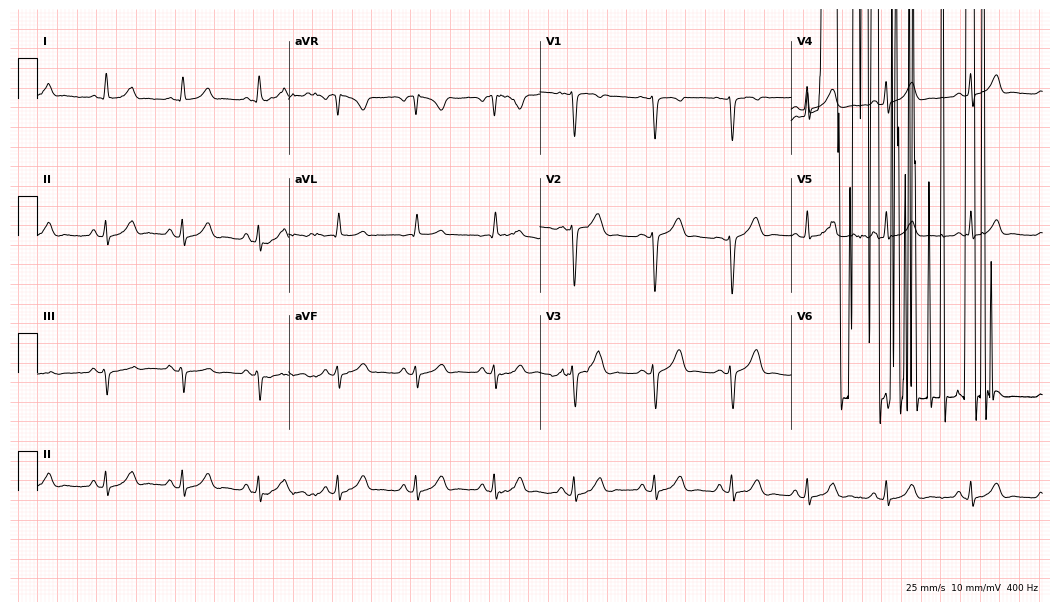
Resting 12-lead electrocardiogram (10.2-second recording at 400 Hz). Patient: a female, 29 years old. None of these six findings is recorded: first-degree AV block, right bundle branch block (RBBB), left bundle branch block (LBBB), sinus bradycardia, atrial fibrillation (AF), sinus tachycardia. Findings outside these six are not listed.